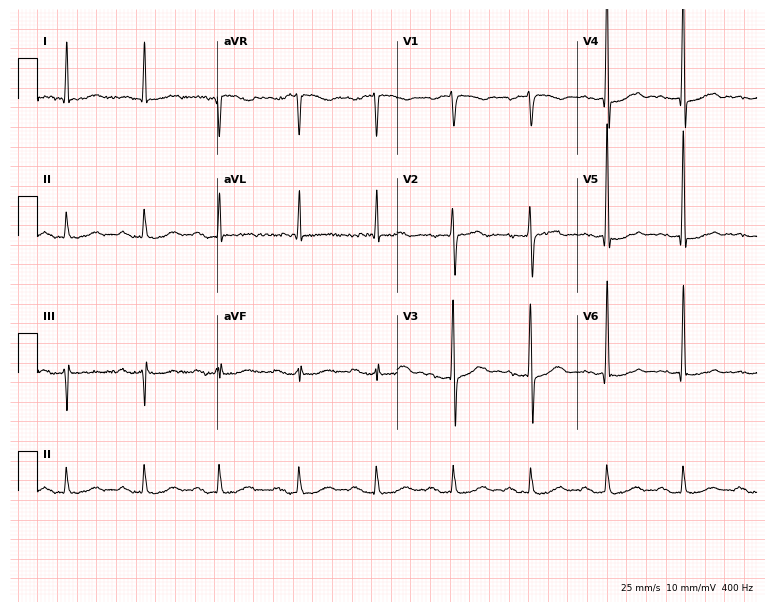
12-lead ECG from a 75-year-old female patient (7.3-second recording at 400 Hz). No first-degree AV block, right bundle branch block, left bundle branch block, sinus bradycardia, atrial fibrillation or sinus tachycardia recorded for this tracing. Other findings, if any, are not listed.